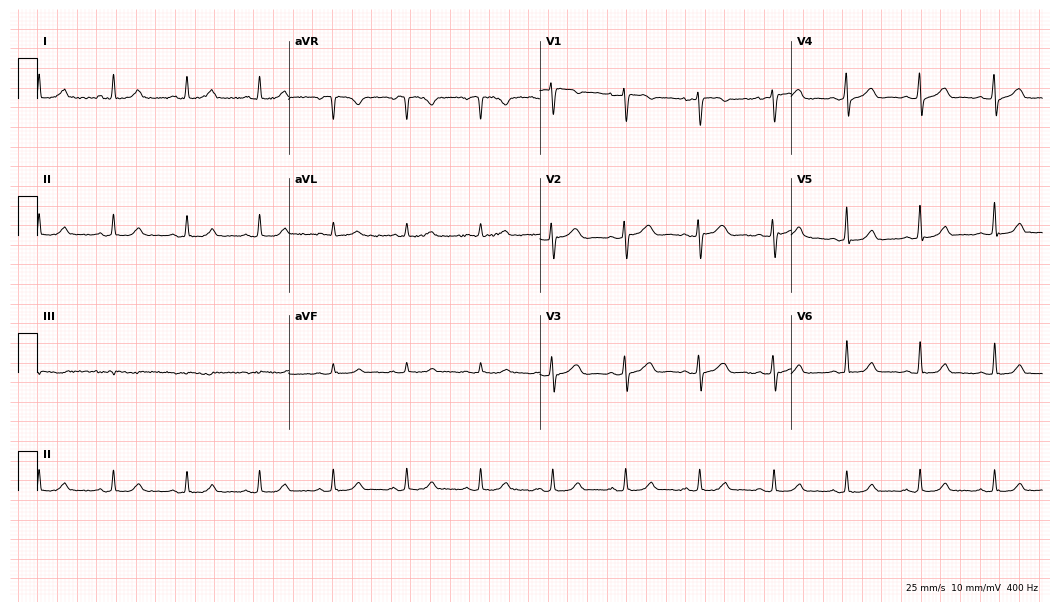
Electrocardiogram (10.2-second recording at 400 Hz), a 43-year-old female. Overall reading on record: normal ECG.